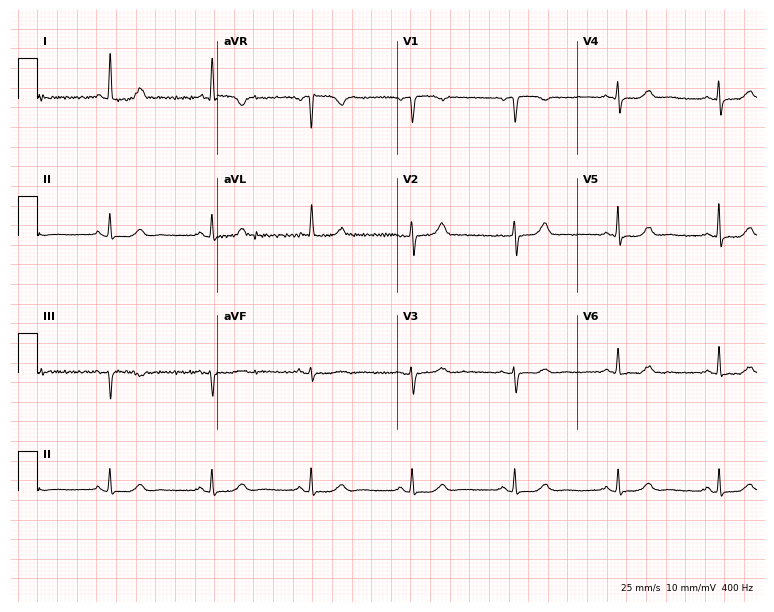
ECG — a 59-year-old female patient. Labelled as a normal ECG.